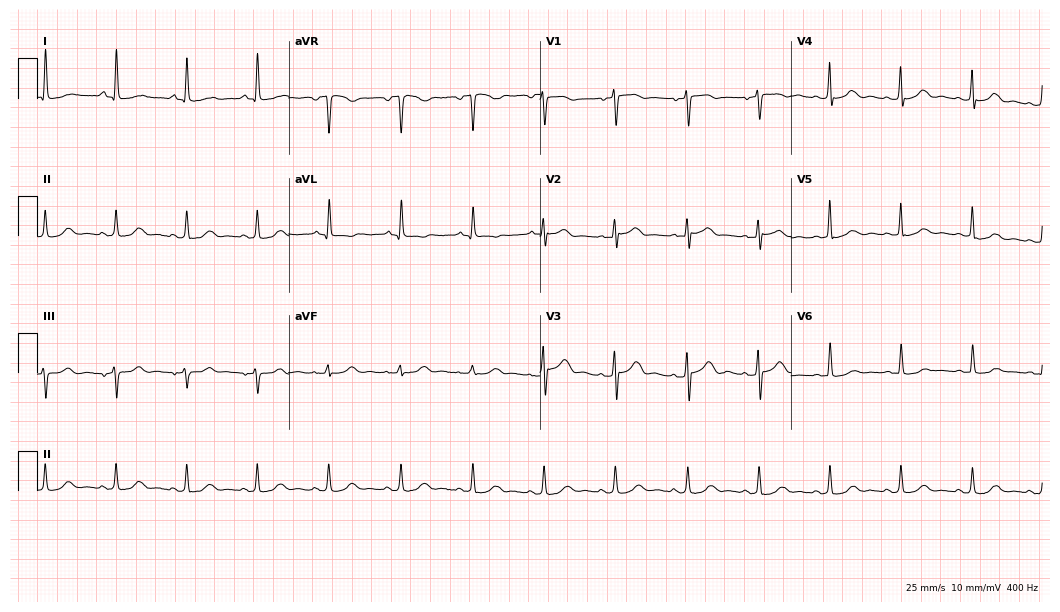
Resting 12-lead electrocardiogram. Patient: a female, 70 years old. None of these six findings is recorded: first-degree AV block, right bundle branch block (RBBB), left bundle branch block (LBBB), sinus bradycardia, atrial fibrillation (AF), sinus tachycardia. Other findings, if any, are not listed.